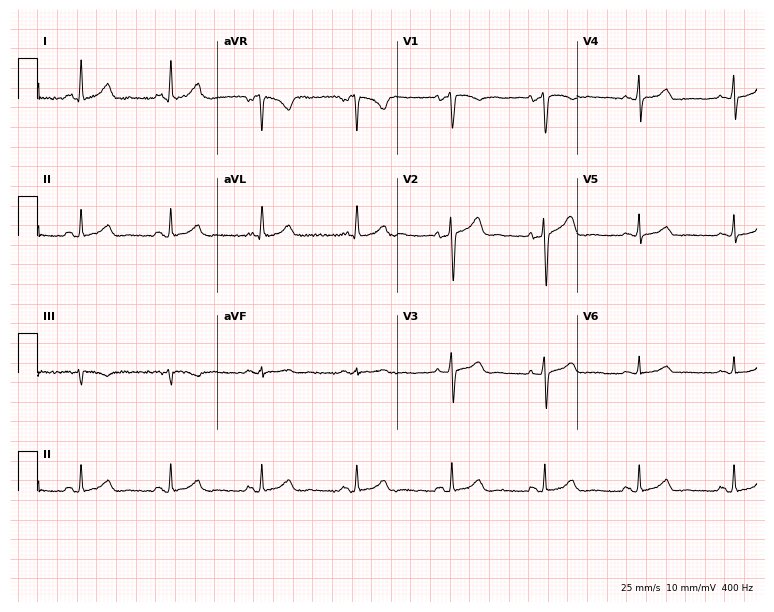
Resting 12-lead electrocardiogram (7.3-second recording at 400 Hz). Patient: a 53-year-old woman. Read as a normal ECG.